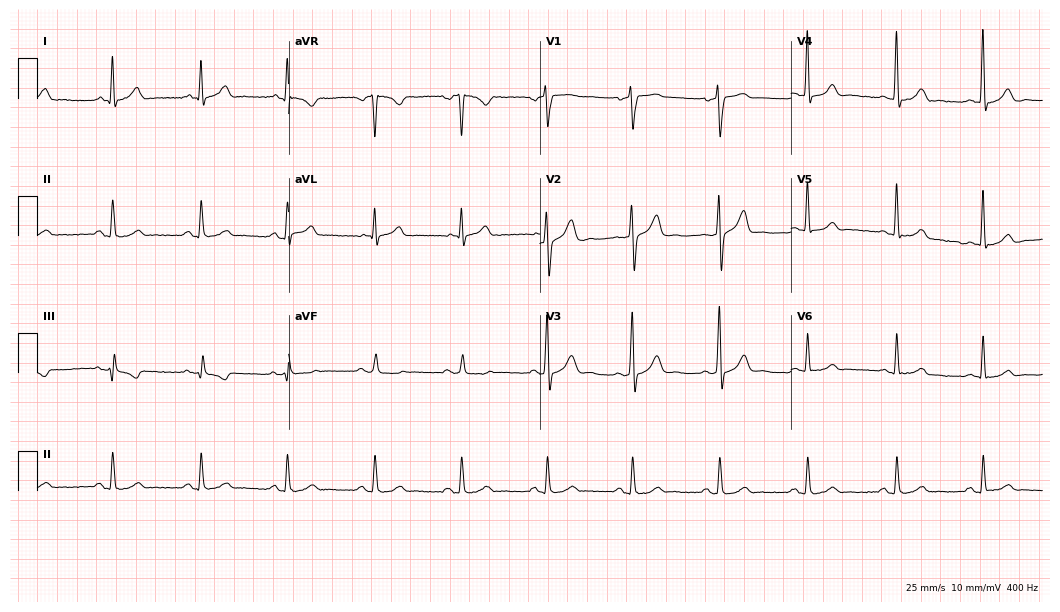
Standard 12-lead ECG recorded from a 40-year-old male patient. Read as a normal ECG.